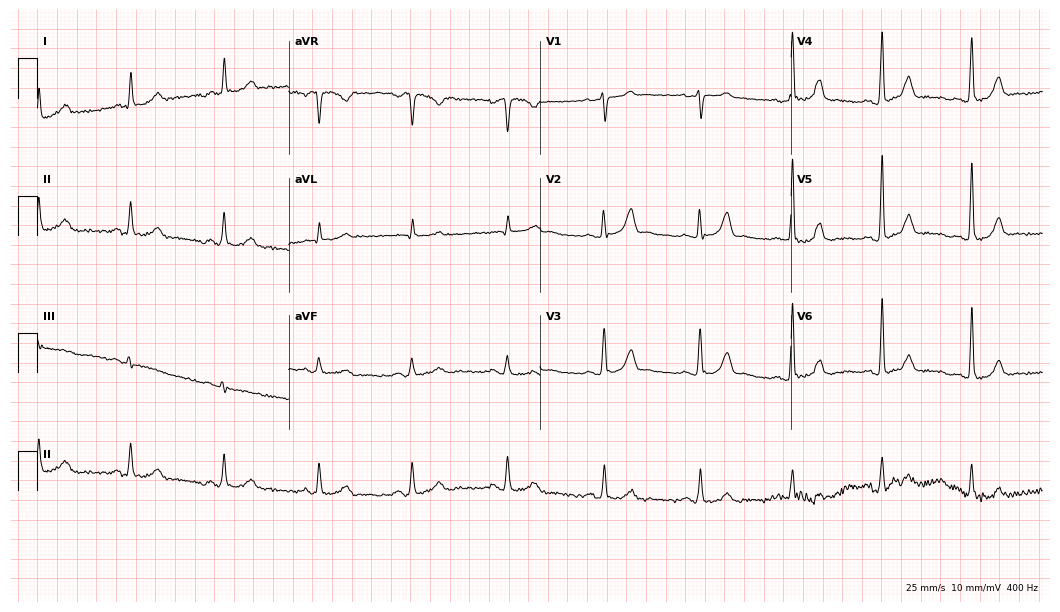
ECG (10.2-second recording at 400 Hz) — a 48-year-old male patient. Labelled as a normal ECG.